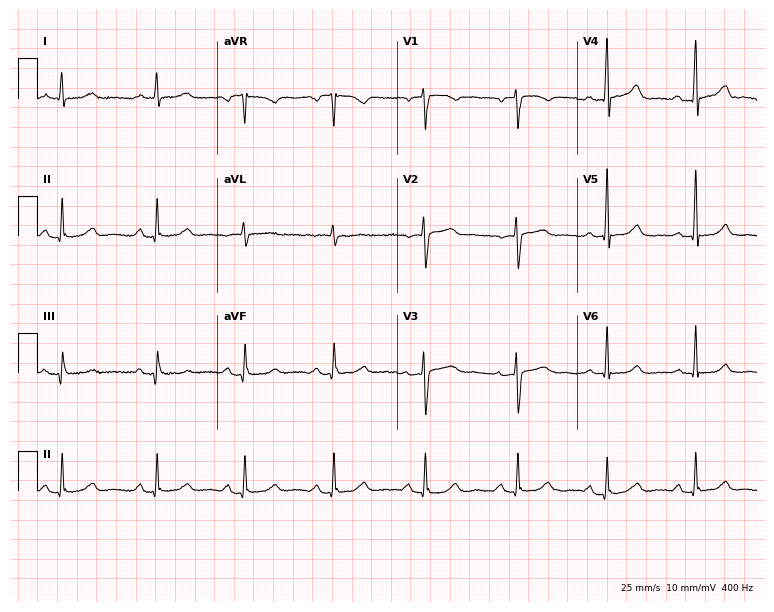
Resting 12-lead electrocardiogram. Patient: a 46-year-old female. Read as a normal ECG.